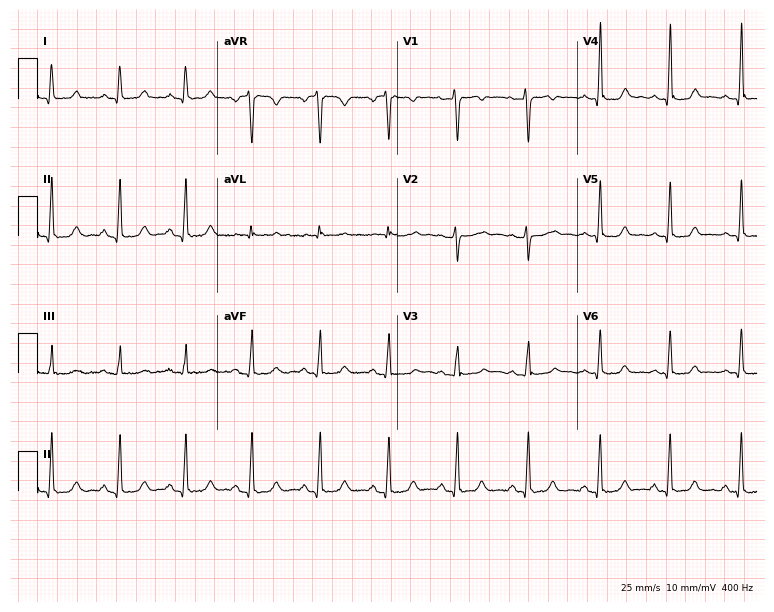
Resting 12-lead electrocardiogram (7.3-second recording at 400 Hz). Patient: a female, 22 years old. Read as a normal ECG.